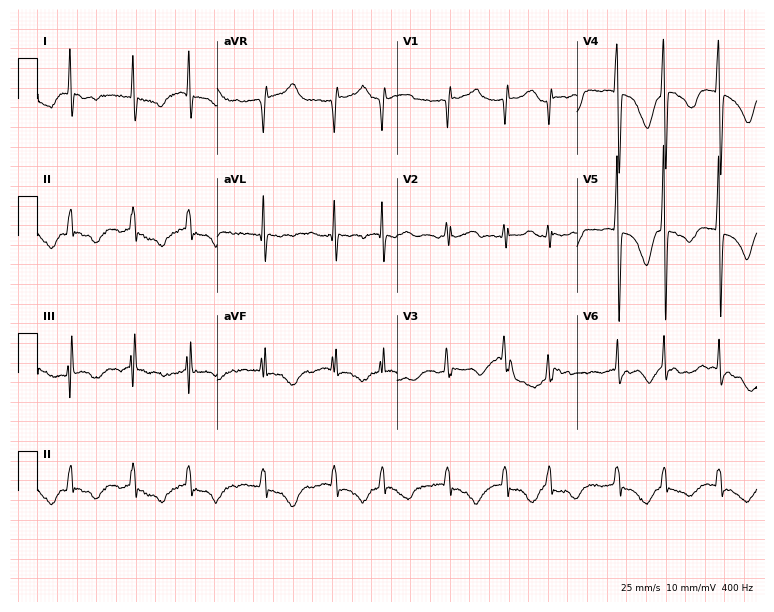
12-lead ECG from a 76-year-old woman. Findings include atrial fibrillation.